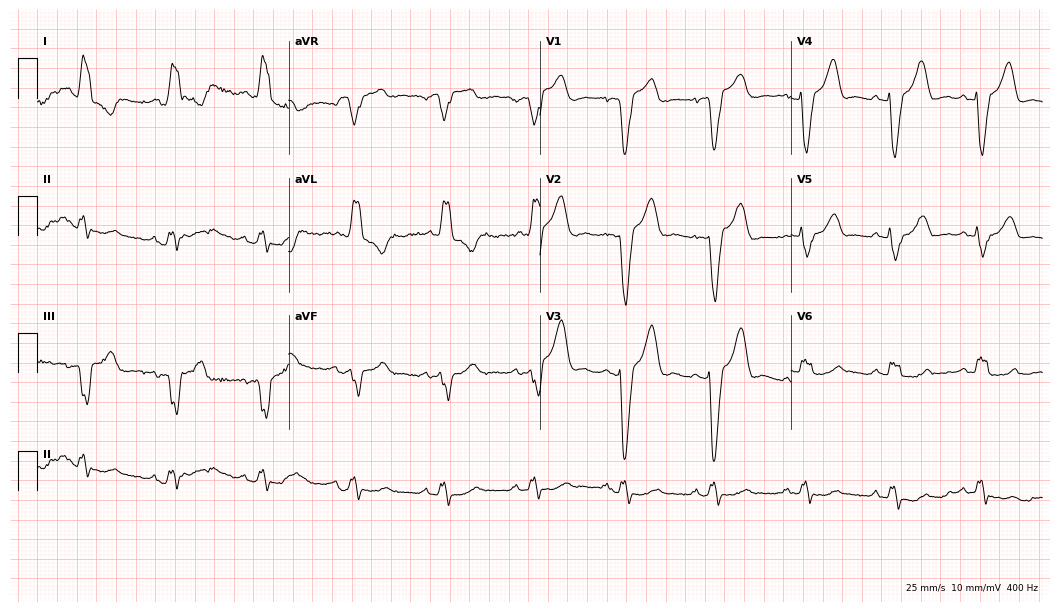
Resting 12-lead electrocardiogram (10.2-second recording at 400 Hz). Patient: a 75-year-old woman. The tracing shows left bundle branch block.